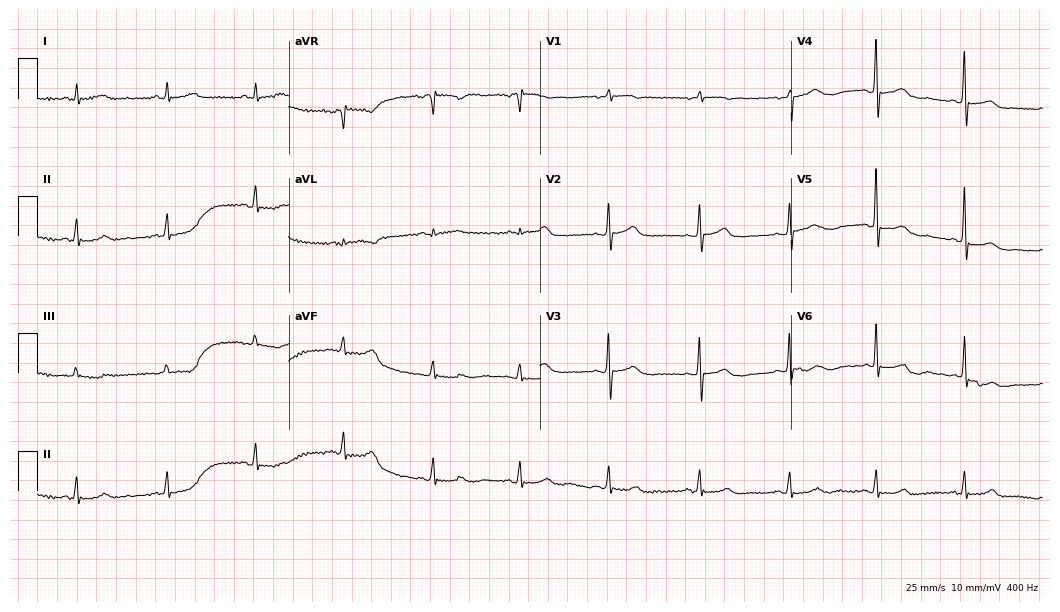
Resting 12-lead electrocardiogram (10.2-second recording at 400 Hz). Patient: a 63-year-old female. None of these six findings is recorded: first-degree AV block, right bundle branch block, left bundle branch block, sinus bradycardia, atrial fibrillation, sinus tachycardia. Only these six findings were labelled.